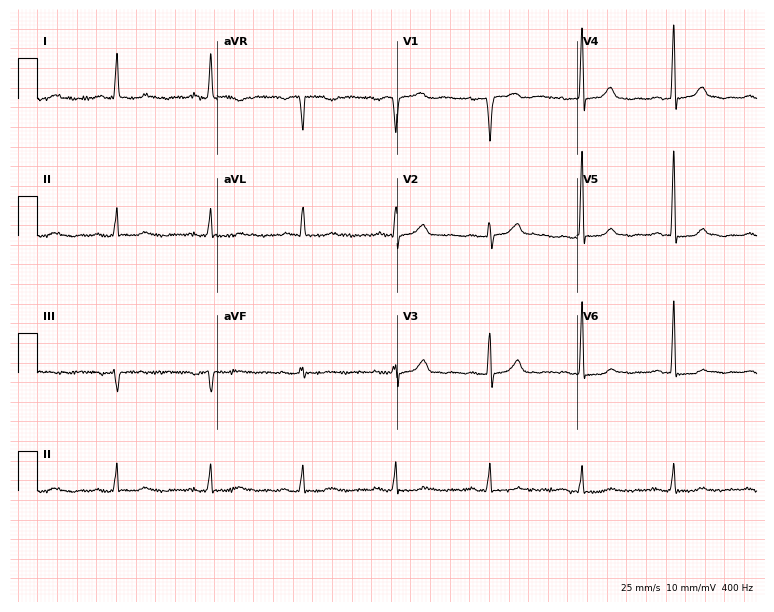
12-lead ECG from a female patient, 81 years old. Recorded interpretation: within normal limits.